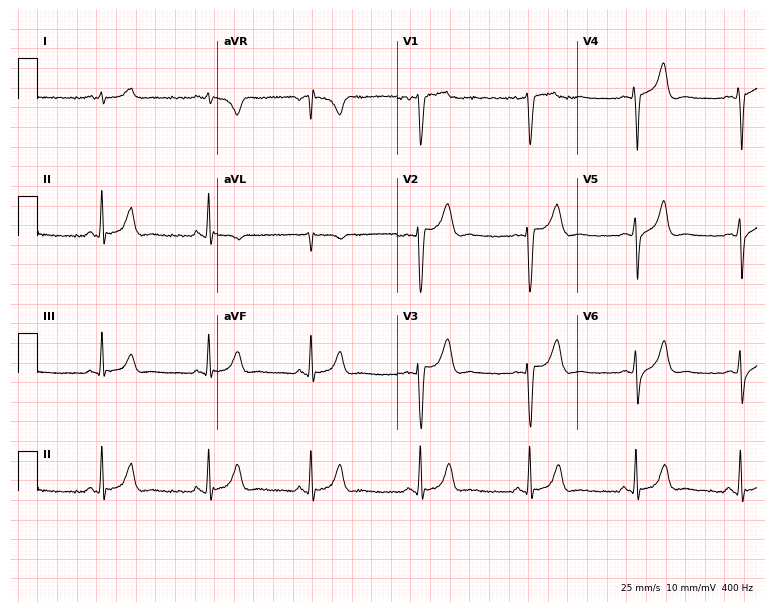
12-lead ECG (7.3-second recording at 400 Hz) from a male, 24 years old. Screened for six findings — first-degree AV block, right bundle branch block, left bundle branch block, sinus bradycardia, atrial fibrillation, sinus tachycardia — none is recorded. Other findings, if any, are not listed.